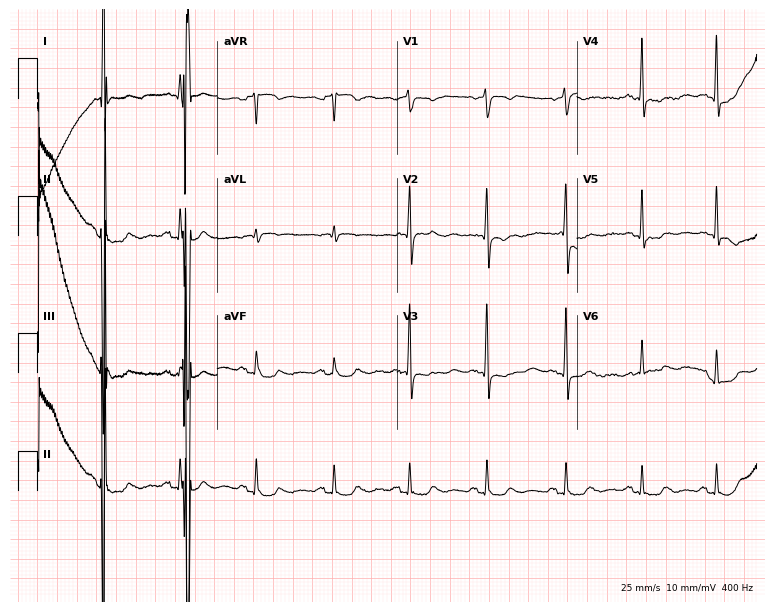
Electrocardiogram, a man, 73 years old. Of the six screened findings (first-degree AV block, right bundle branch block (RBBB), left bundle branch block (LBBB), sinus bradycardia, atrial fibrillation (AF), sinus tachycardia), none is recorded. Other findings, if any, are not listed.